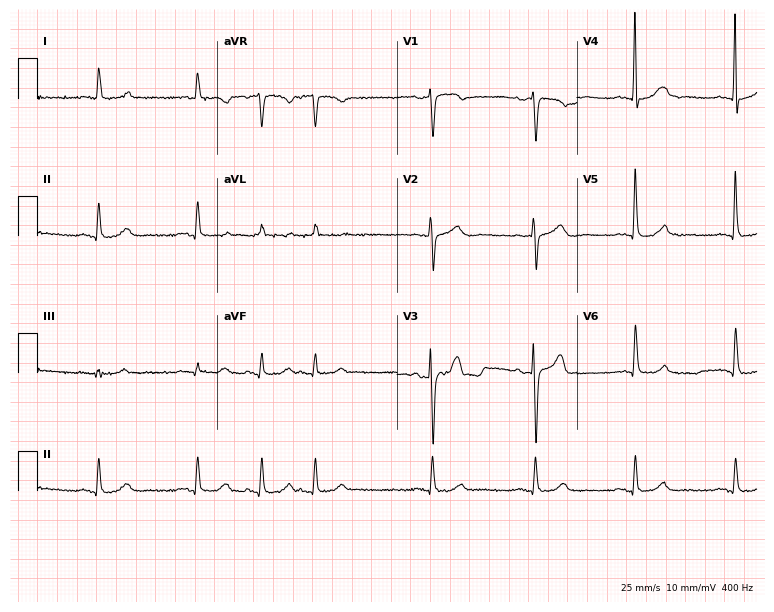
ECG (7.3-second recording at 400 Hz) — an 81-year-old male patient. Screened for six findings — first-degree AV block, right bundle branch block (RBBB), left bundle branch block (LBBB), sinus bradycardia, atrial fibrillation (AF), sinus tachycardia — none is recorded. Only these six findings were labelled.